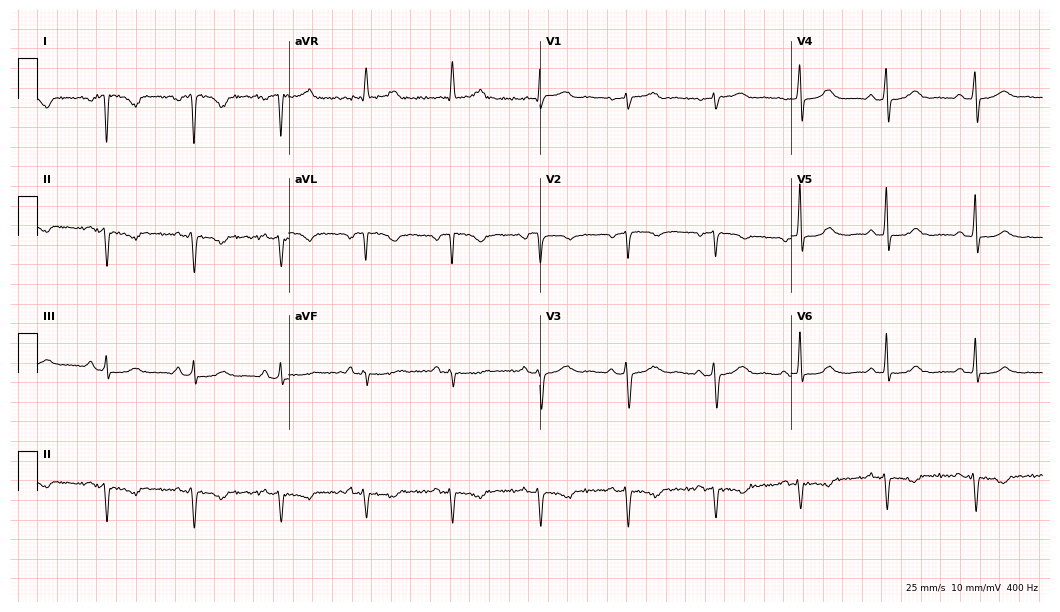
Electrocardiogram (10.2-second recording at 400 Hz), a female, 58 years old. Of the six screened findings (first-degree AV block, right bundle branch block, left bundle branch block, sinus bradycardia, atrial fibrillation, sinus tachycardia), none is recorded. Other findings, if any, are not listed.